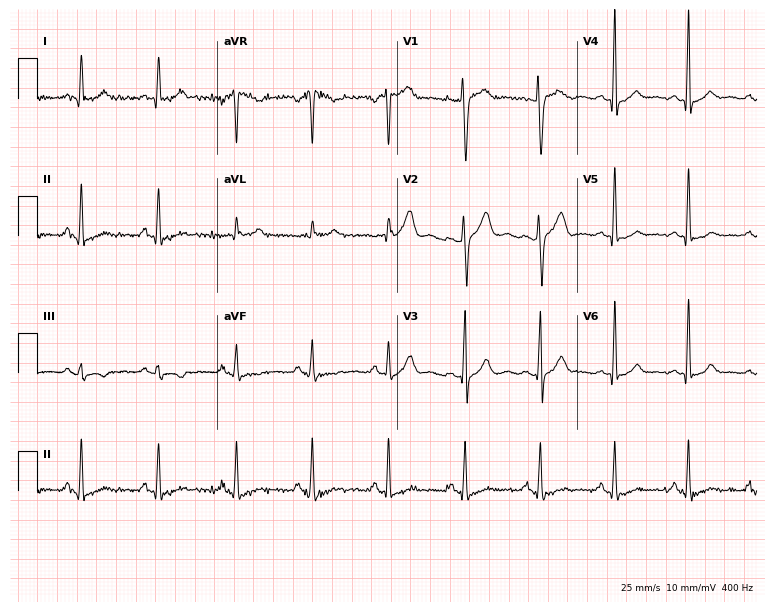
ECG (7.3-second recording at 400 Hz) — a 45-year-old man. Screened for six findings — first-degree AV block, right bundle branch block (RBBB), left bundle branch block (LBBB), sinus bradycardia, atrial fibrillation (AF), sinus tachycardia — none is recorded. Only these six findings were labelled.